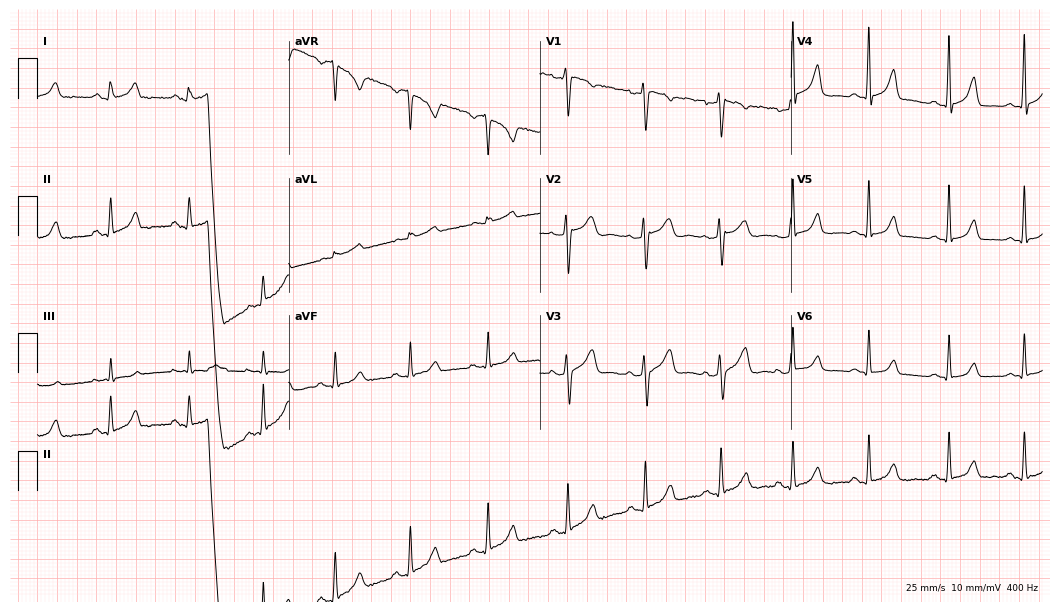
Electrocardiogram (10.2-second recording at 400 Hz), a 30-year-old woman. Overall reading on record: normal ECG.